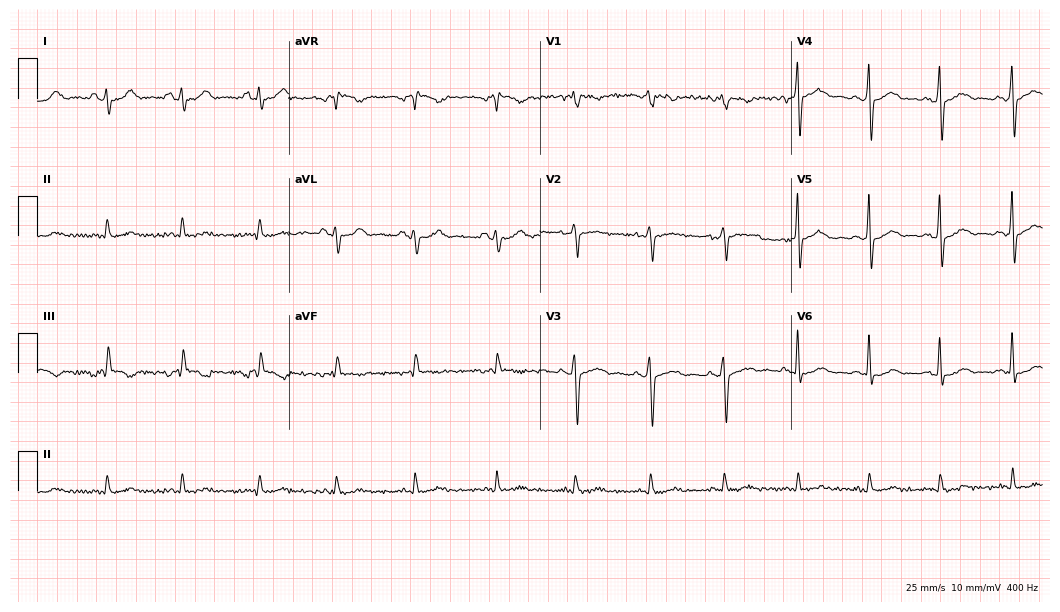
Standard 12-lead ECG recorded from a 68-year-old man. None of these six findings is recorded: first-degree AV block, right bundle branch block (RBBB), left bundle branch block (LBBB), sinus bradycardia, atrial fibrillation (AF), sinus tachycardia. Other findings, if any, are not listed.